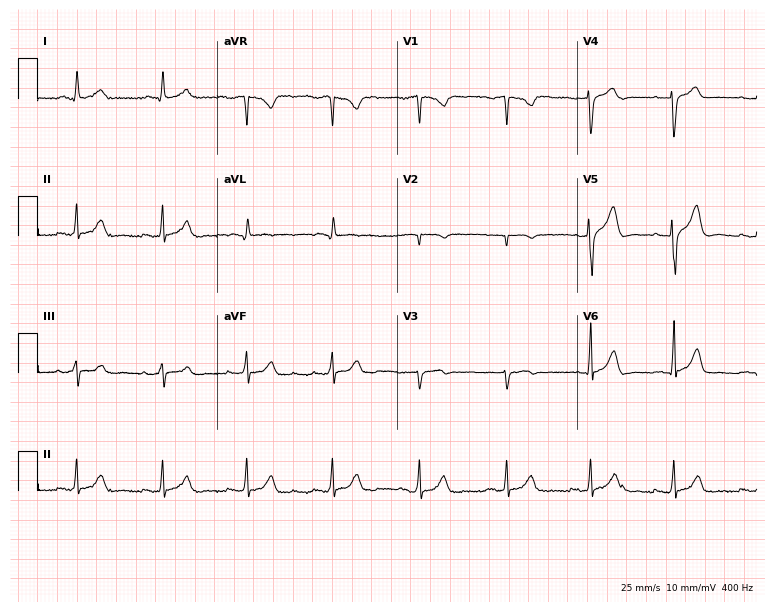
ECG — a 53-year-old man. Screened for six findings — first-degree AV block, right bundle branch block, left bundle branch block, sinus bradycardia, atrial fibrillation, sinus tachycardia — none is recorded.